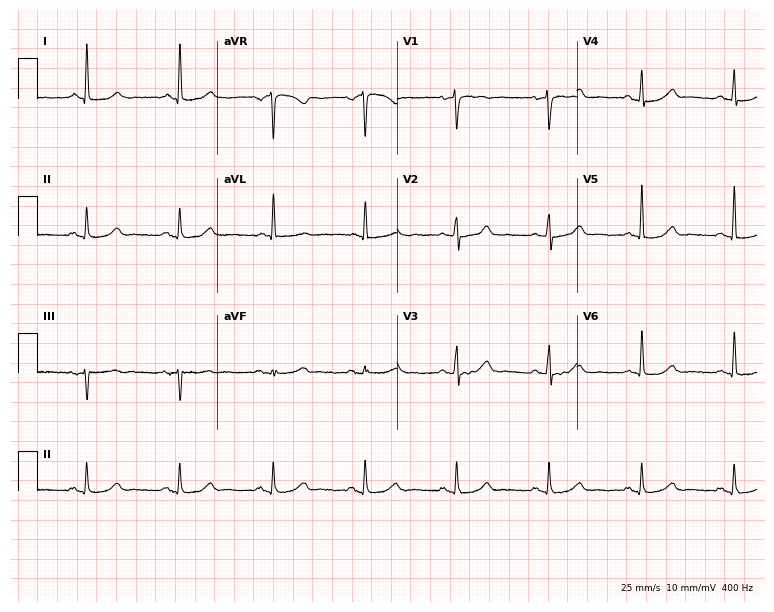
ECG (7.3-second recording at 400 Hz) — a woman, 75 years old. Labelled as a normal ECG.